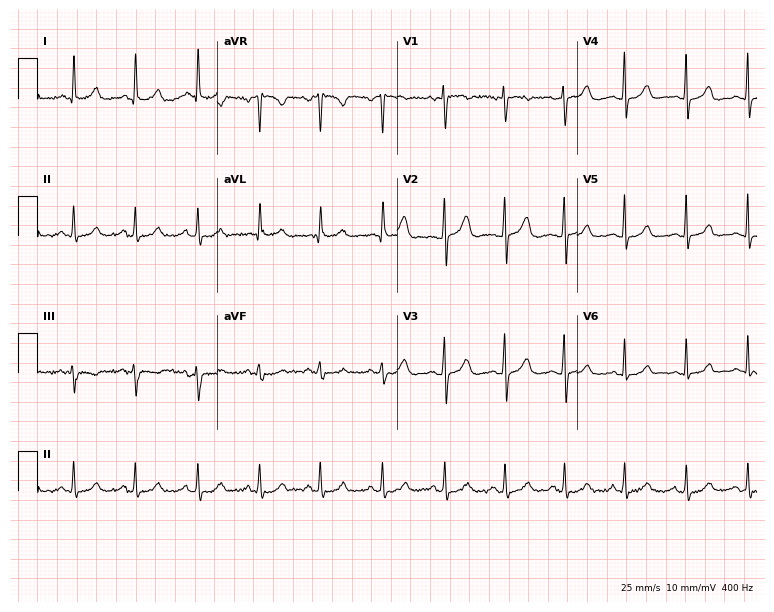
Standard 12-lead ECG recorded from a 46-year-old woman (7.3-second recording at 400 Hz). None of these six findings is recorded: first-degree AV block, right bundle branch block, left bundle branch block, sinus bradycardia, atrial fibrillation, sinus tachycardia. Other findings, if any, are not listed.